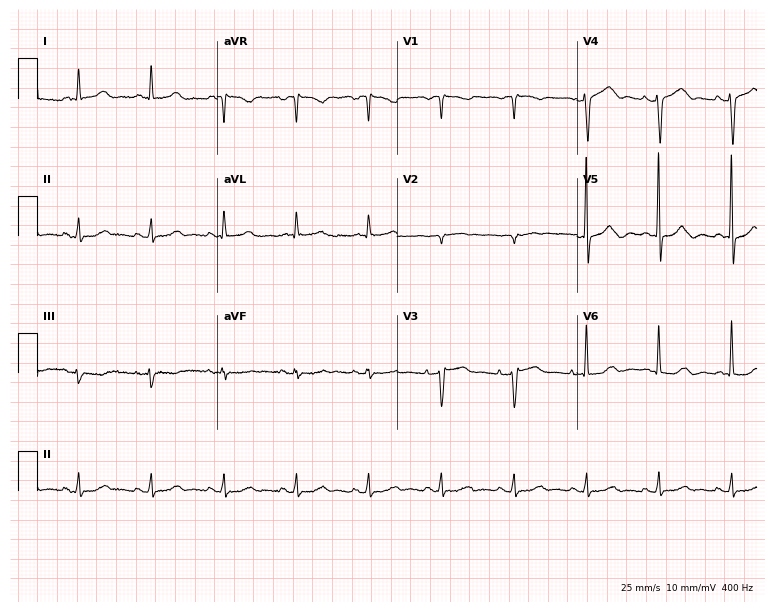
12-lead ECG from an 80-year-old female. Screened for six findings — first-degree AV block, right bundle branch block, left bundle branch block, sinus bradycardia, atrial fibrillation, sinus tachycardia — none is recorded. Other findings, if any, are not listed.